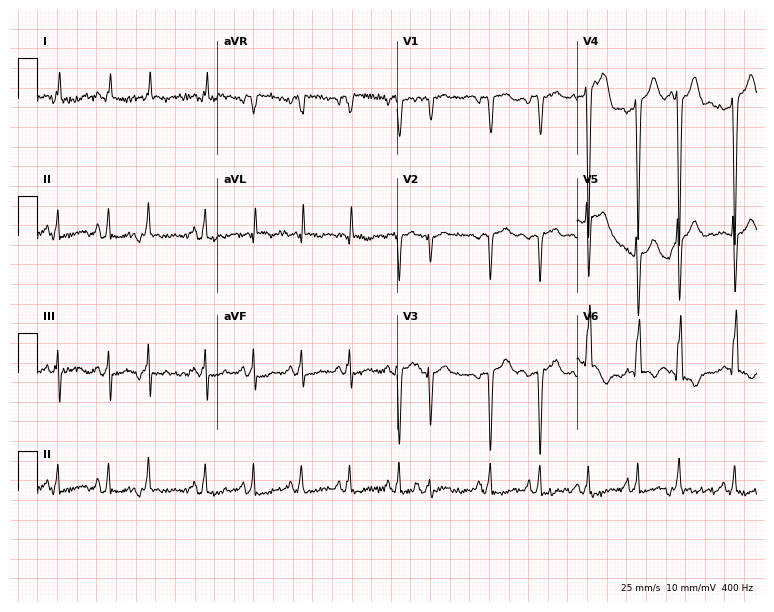
12-lead ECG from a male, 82 years old. Screened for six findings — first-degree AV block, right bundle branch block, left bundle branch block, sinus bradycardia, atrial fibrillation, sinus tachycardia — none is recorded.